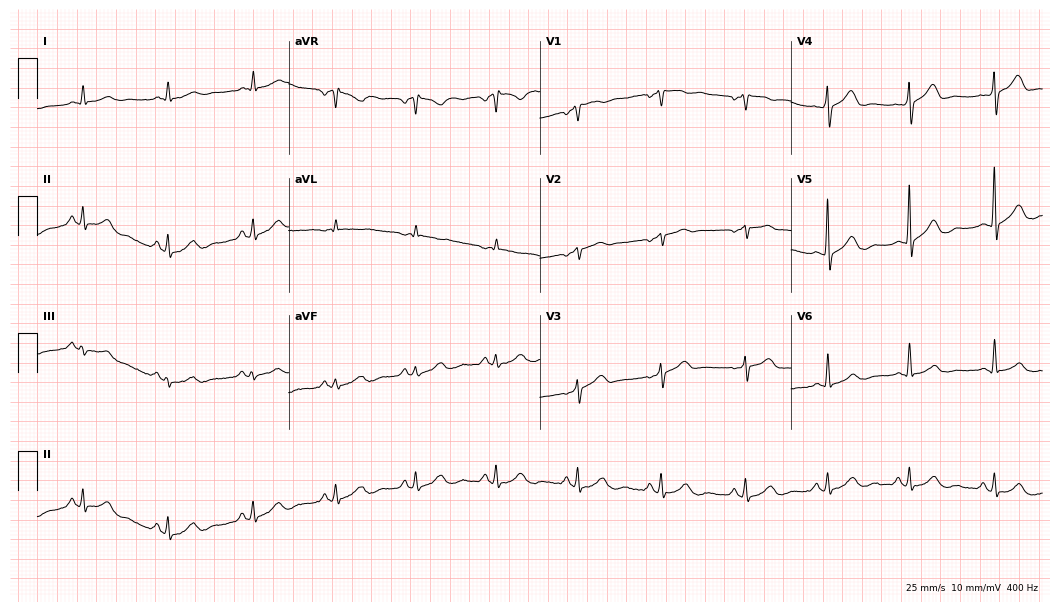
12-lead ECG from a man, 76 years old. Recorded interpretation: within normal limits.